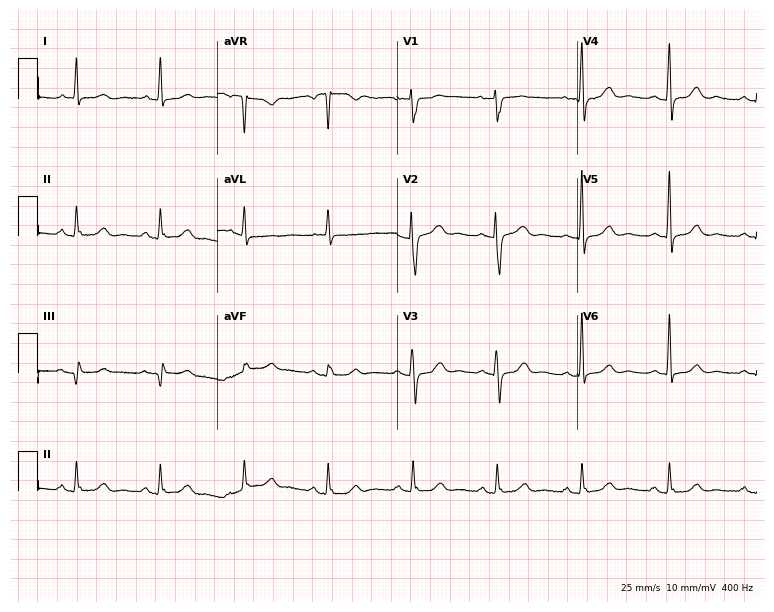
12-lead ECG from a male patient, 69 years old. Recorded interpretation: within normal limits.